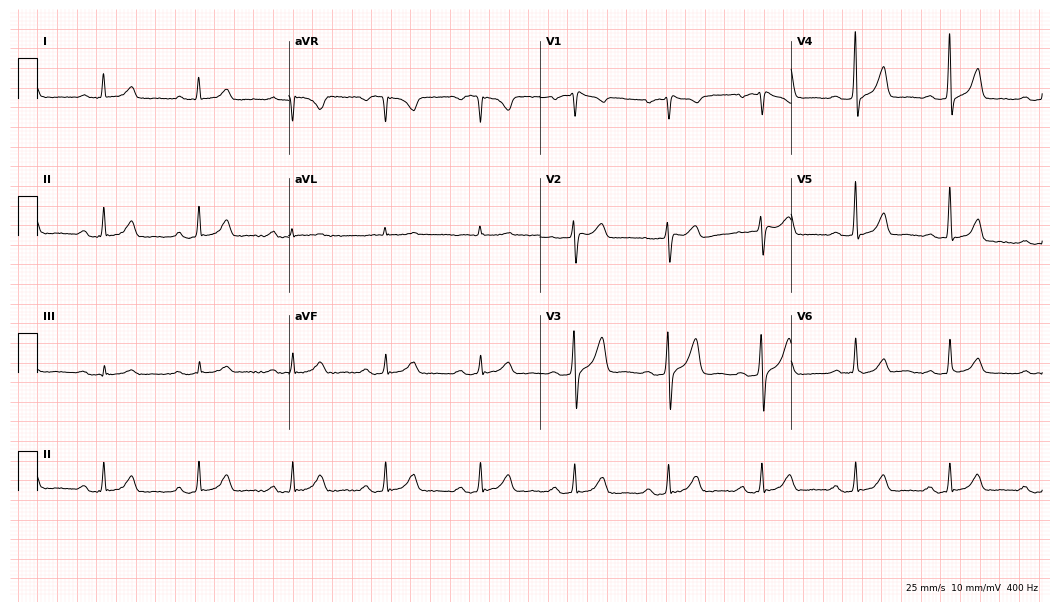
Standard 12-lead ECG recorded from a male, 60 years old. Read as a normal ECG.